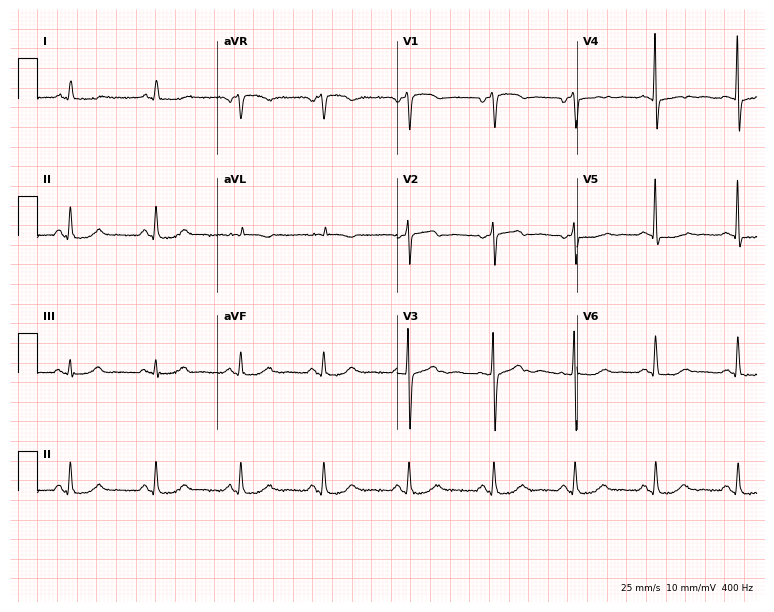
Standard 12-lead ECG recorded from a 65-year-old female. None of these six findings is recorded: first-degree AV block, right bundle branch block (RBBB), left bundle branch block (LBBB), sinus bradycardia, atrial fibrillation (AF), sinus tachycardia. Only these six findings were labelled.